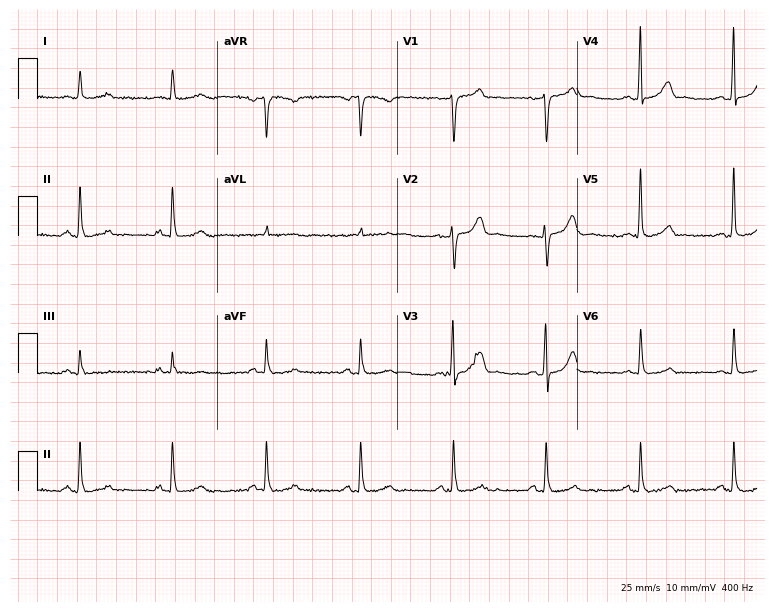
12-lead ECG from a male, 63 years old. Recorded interpretation: within normal limits.